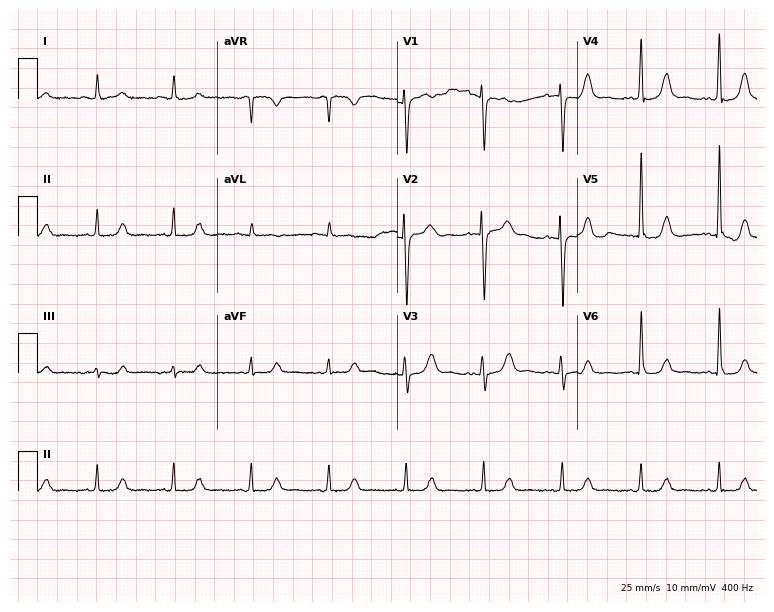
ECG — a female, 70 years old. Labelled as a normal ECG.